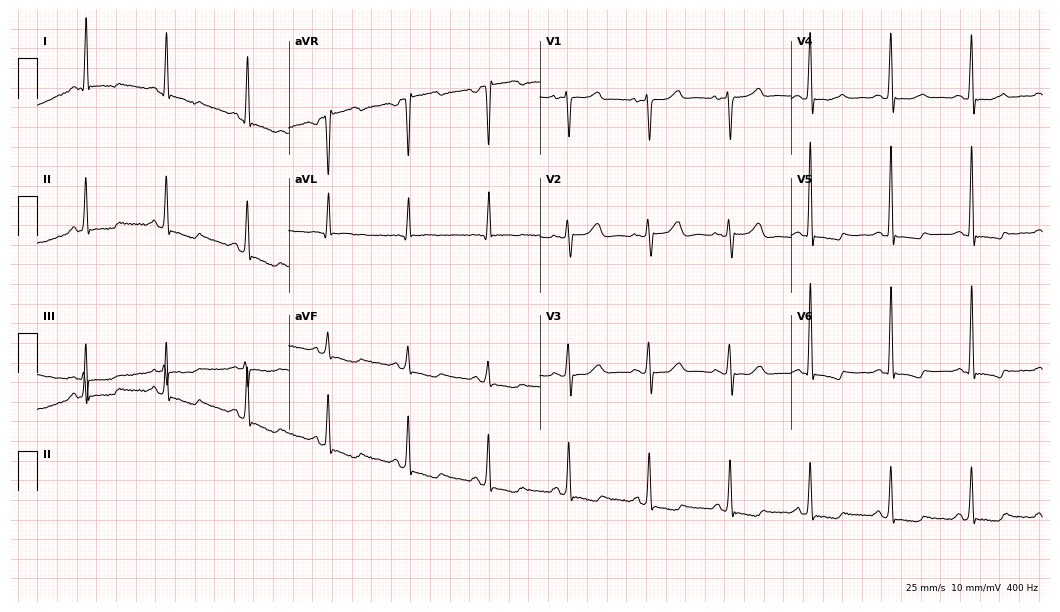
Electrocardiogram (10.2-second recording at 400 Hz), a female patient, 53 years old. Of the six screened findings (first-degree AV block, right bundle branch block, left bundle branch block, sinus bradycardia, atrial fibrillation, sinus tachycardia), none is recorded.